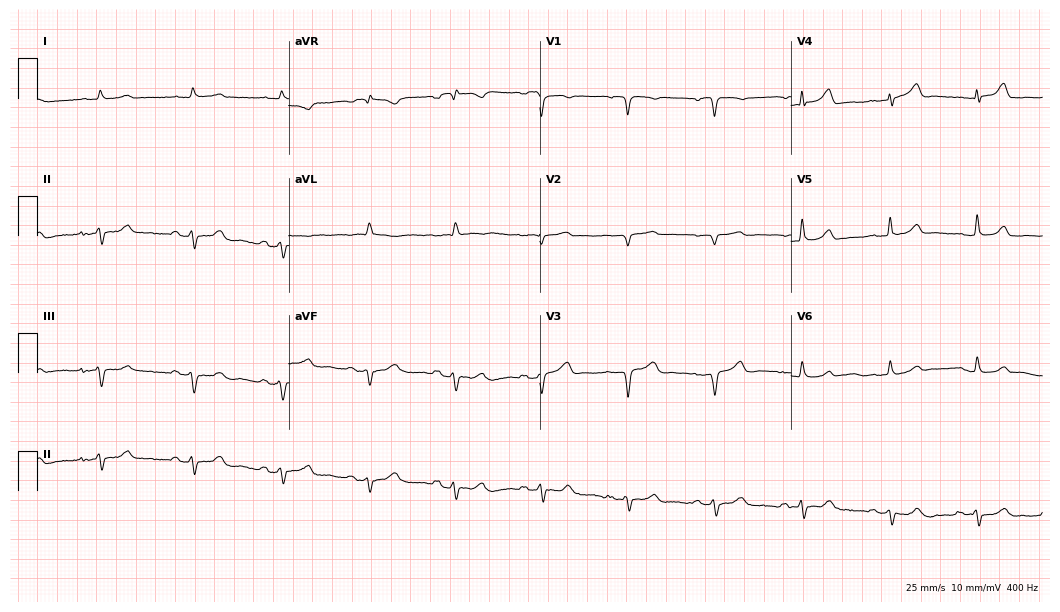
ECG — a man, 66 years old. Screened for six findings — first-degree AV block, right bundle branch block, left bundle branch block, sinus bradycardia, atrial fibrillation, sinus tachycardia — none is recorded. Other findings, if any, are not listed.